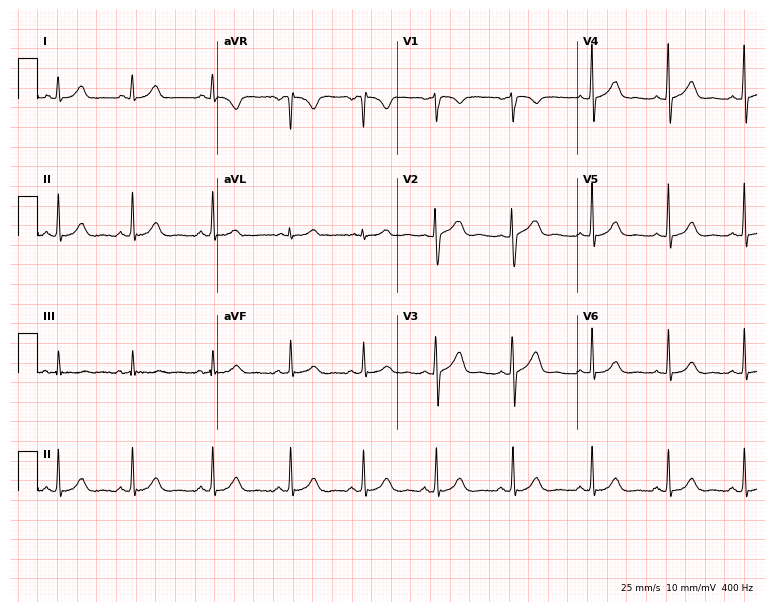
Standard 12-lead ECG recorded from a 20-year-old female (7.3-second recording at 400 Hz). None of these six findings is recorded: first-degree AV block, right bundle branch block, left bundle branch block, sinus bradycardia, atrial fibrillation, sinus tachycardia. Other findings, if any, are not listed.